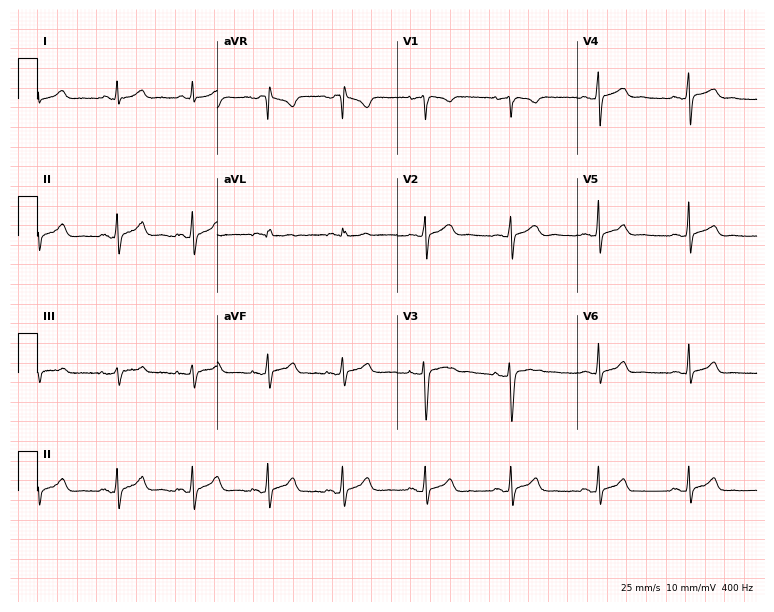
Resting 12-lead electrocardiogram (7.3-second recording at 400 Hz). Patient: a 27-year-old female. Read as a normal ECG.